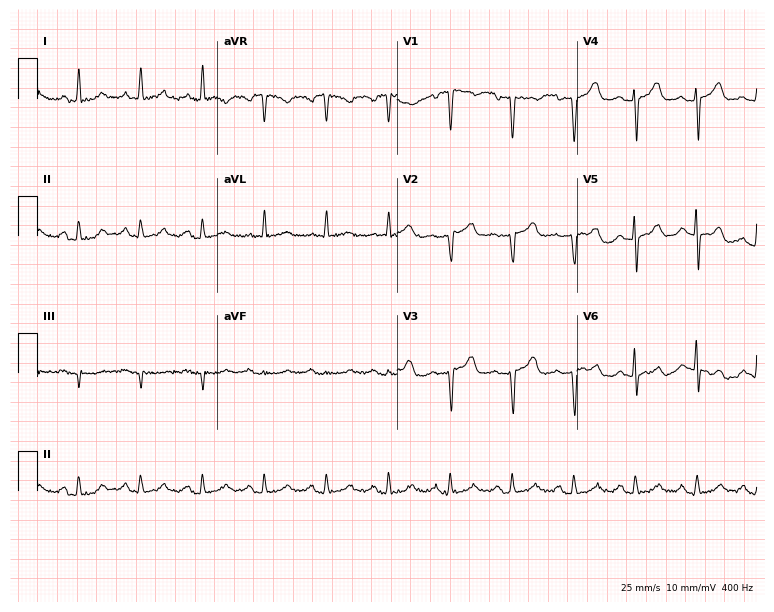
12-lead ECG from a female, 73 years old. No first-degree AV block, right bundle branch block, left bundle branch block, sinus bradycardia, atrial fibrillation or sinus tachycardia recorded for this tracing. Other findings, if any, are not listed.